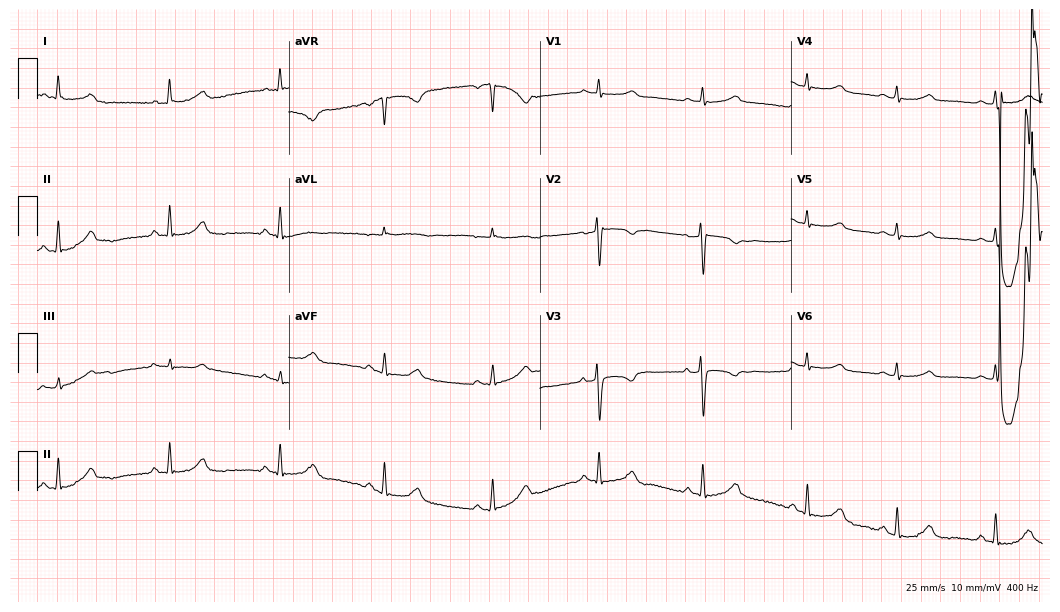
ECG — a 35-year-old woman. Labelled as a normal ECG.